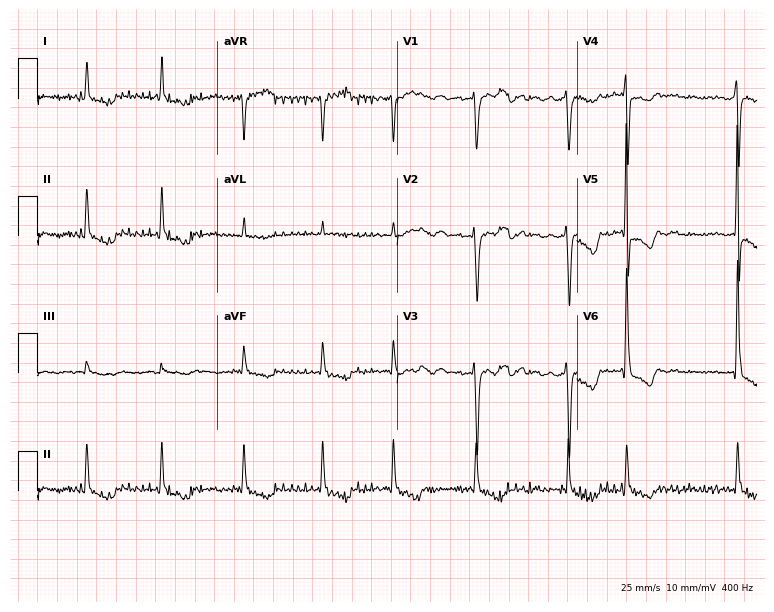
12-lead ECG from an 86-year-old female patient. Findings include atrial fibrillation.